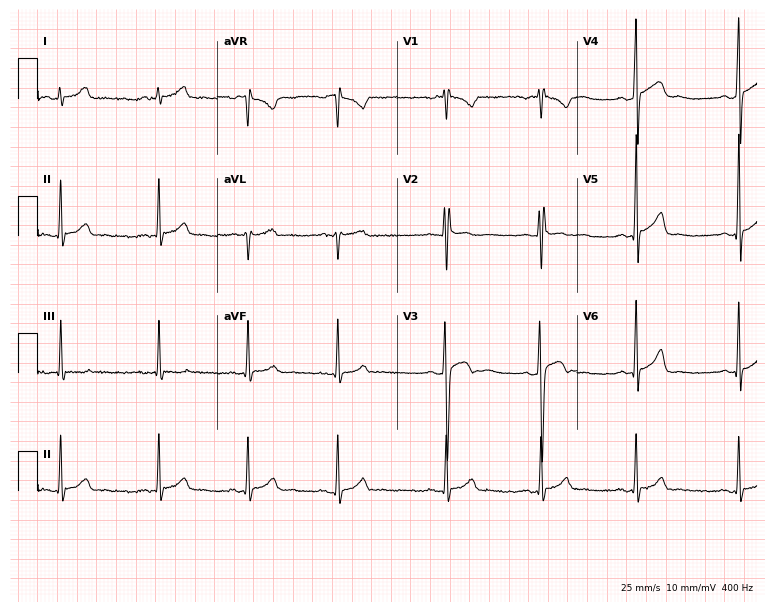
Standard 12-lead ECG recorded from a 17-year-old man (7.3-second recording at 400 Hz). Read as a normal ECG.